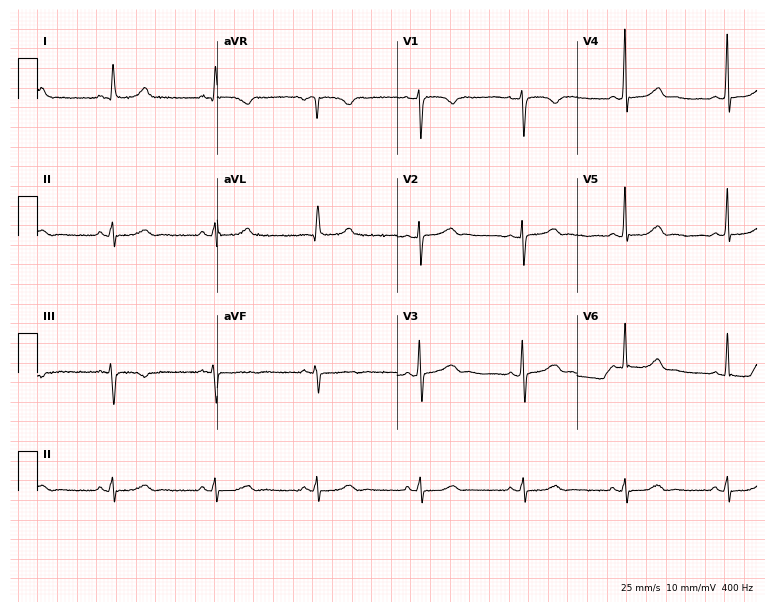
Resting 12-lead electrocardiogram (7.3-second recording at 400 Hz). Patient: a 49-year-old female. Read as a normal ECG.